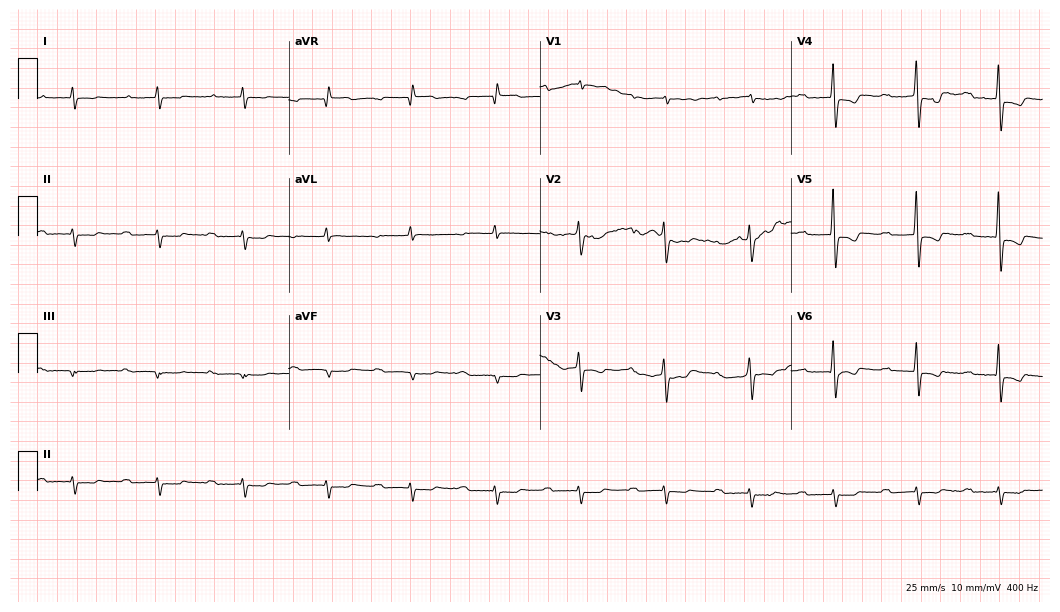
Resting 12-lead electrocardiogram (10.2-second recording at 400 Hz). Patient: an 82-year-old female. None of these six findings is recorded: first-degree AV block, right bundle branch block, left bundle branch block, sinus bradycardia, atrial fibrillation, sinus tachycardia.